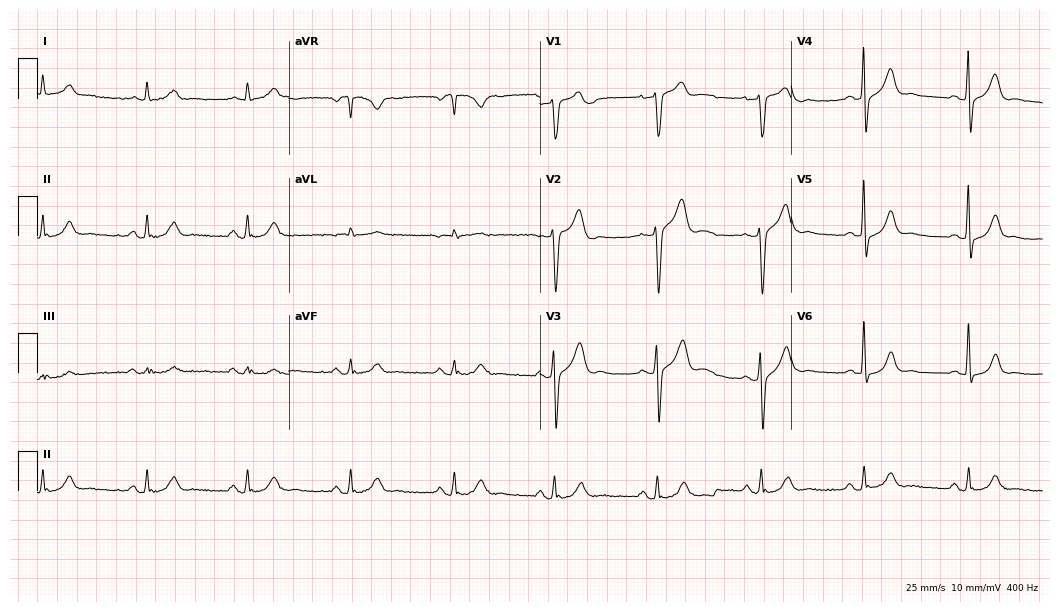
Resting 12-lead electrocardiogram (10.2-second recording at 400 Hz). Patient: a 61-year-old man. Read as a normal ECG.